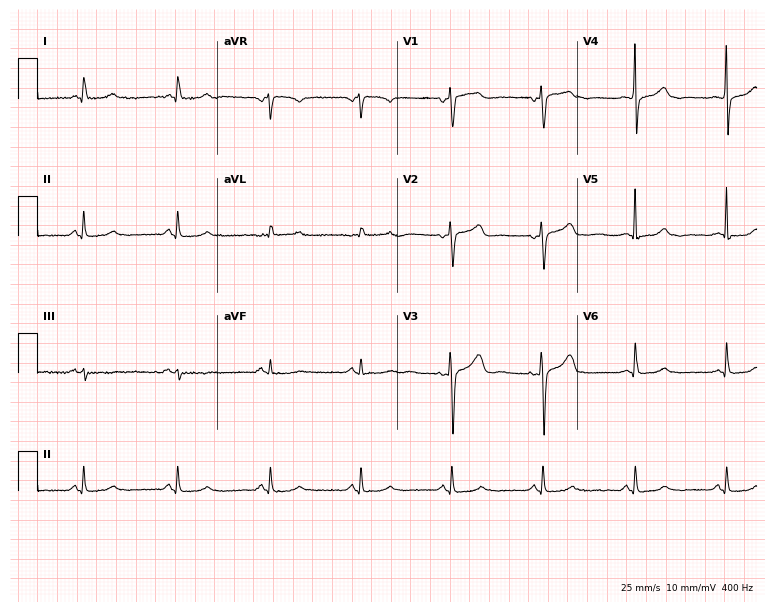
12-lead ECG from a woman, 87 years old. Recorded interpretation: within normal limits.